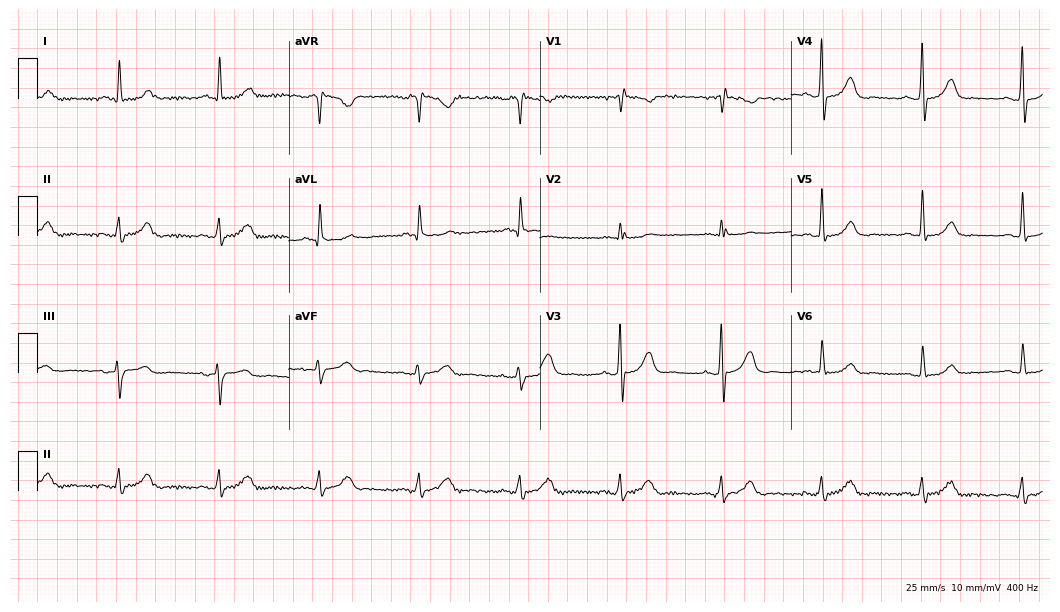
Electrocardiogram (10.2-second recording at 400 Hz), a man, 67 years old. Of the six screened findings (first-degree AV block, right bundle branch block, left bundle branch block, sinus bradycardia, atrial fibrillation, sinus tachycardia), none is recorded. Other findings, if any, are not listed.